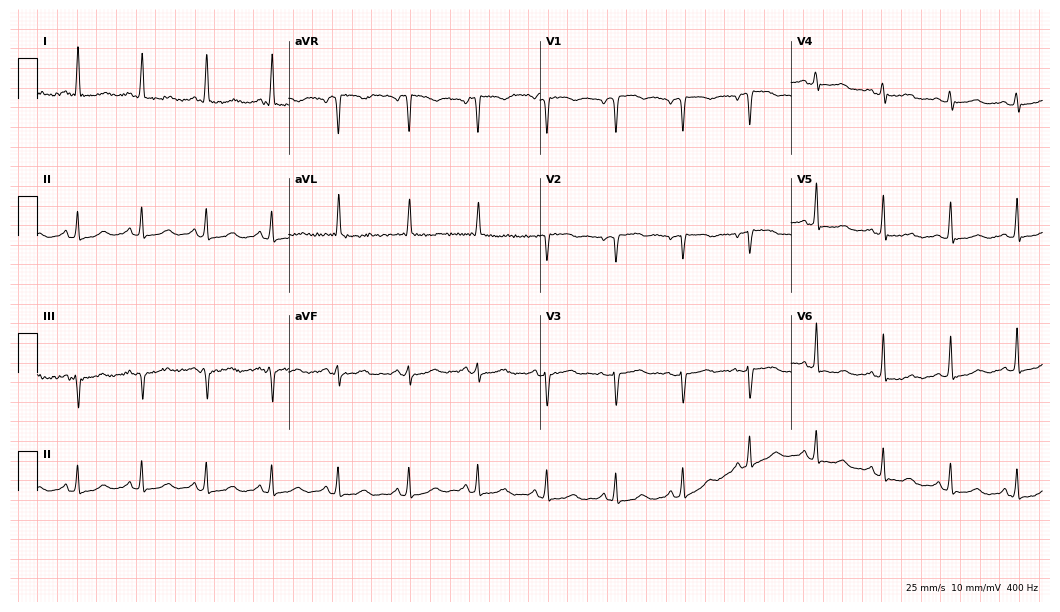
Electrocardiogram, a 77-year-old woman. Overall reading on record: normal ECG.